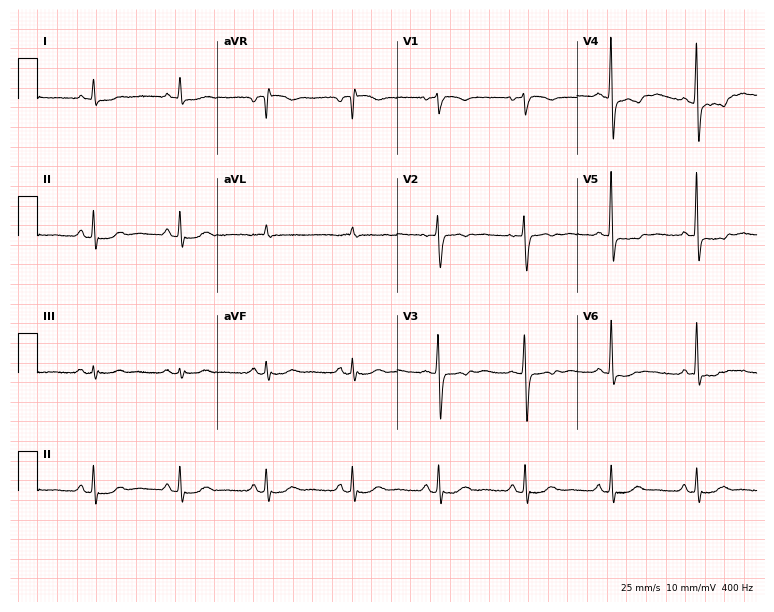
12-lead ECG (7.3-second recording at 400 Hz) from a woman, 66 years old. Screened for six findings — first-degree AV block, right bundle branch block, left bundle branch block, sinus bradycardia, atrial fibrillation, sinus tachycardia — none is recorded.